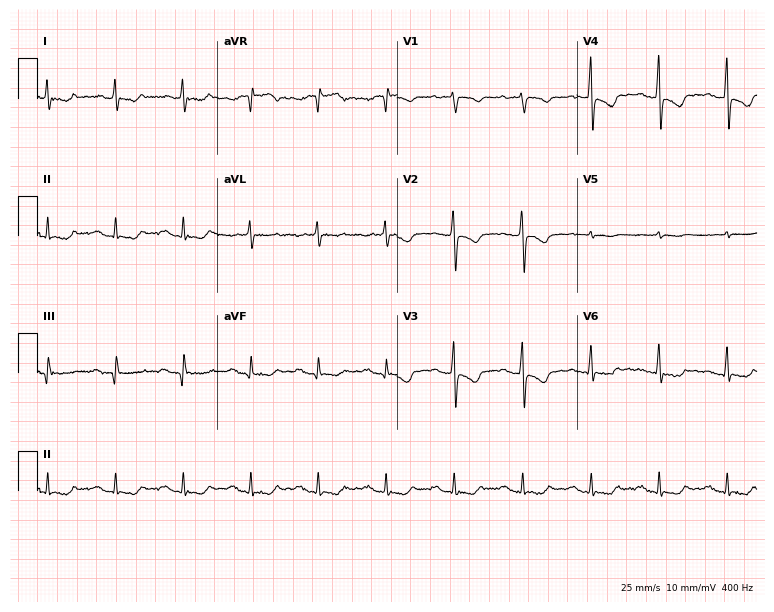
12-lead ECG from a 64-year-old male patient. Screened for six findings — first-degree AV block, right bundle branch block (RBBB), left bundle branch block (LBBB), sinus bradycardia, atrial fibrillation (AF), sinus tachycardia — none is recorded. Other findings, if any, are not listed.